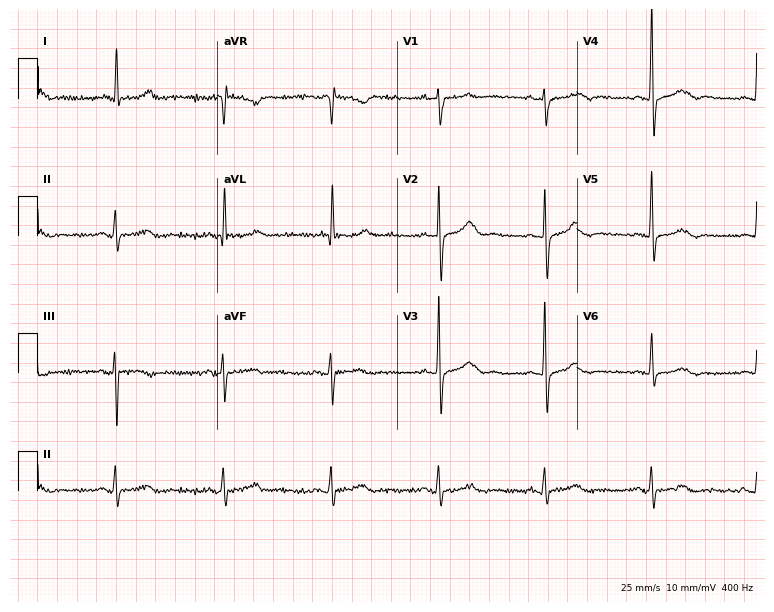
12-lead ECG from an 83-year-old man (7.3-second recording at 400 Hz). Recorded interpretation: within normal limits.